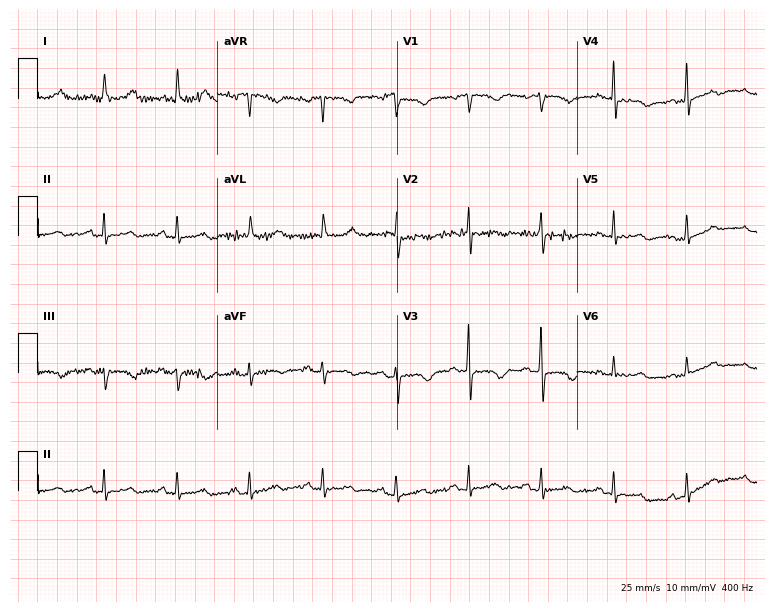
ECG (7.3-second recording at 400 Hz) — a 76-year-old woman. Screened for six findings — first-degree AV block, right bundle branch block, left bundle branch block, sinus bradycardia, atrial fibrillation, sinus tachycardia — none is recorded. Other findings, if any, are not listed.